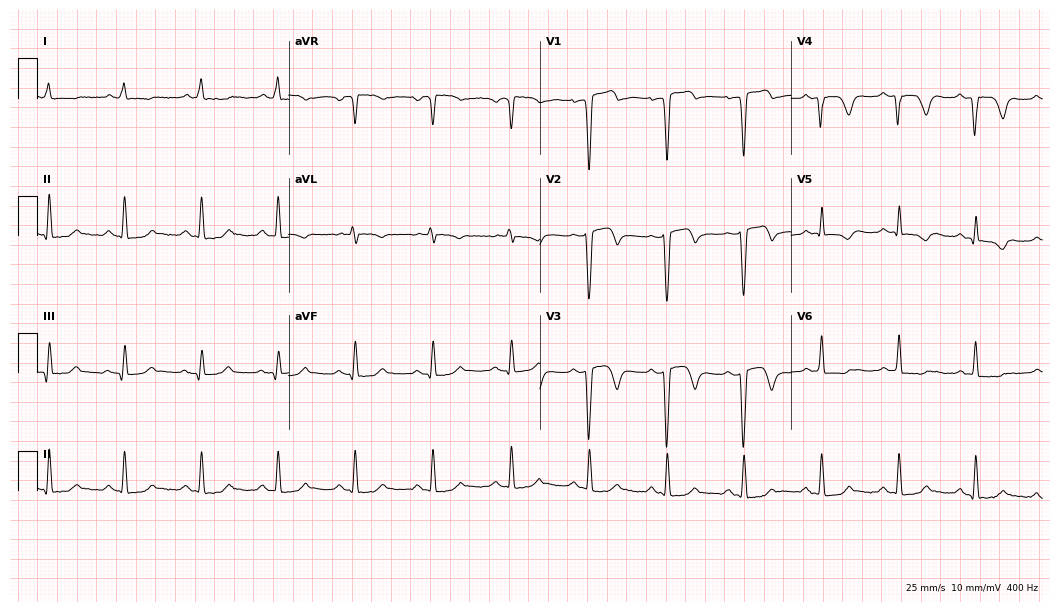
ECG (10.2-second recording at 400 Hz) — a 66-year-old man. Screened for six findings — first-degree AV block, right bundle branch block, left bundle branch block, sinus bradycardia, atrial fibrillation, sinus tachycardia — none is recorded. Only these six findings were labelled.